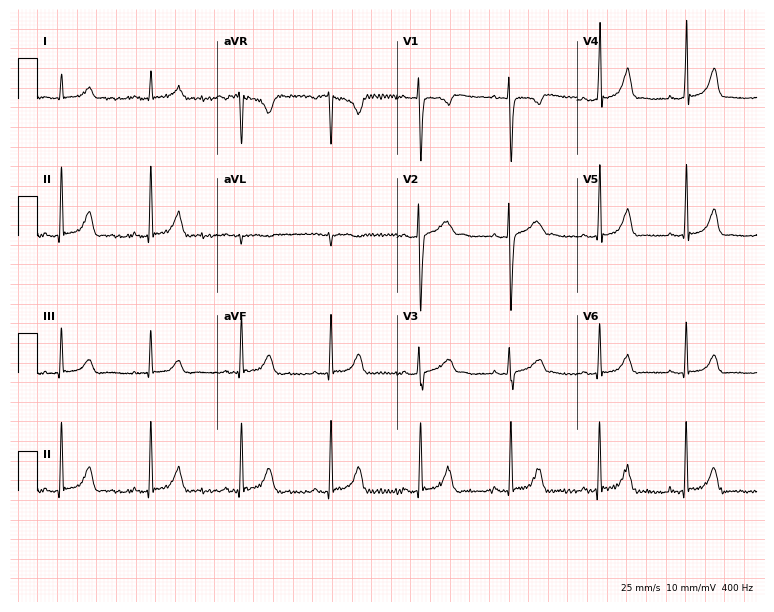
Electrocardiogram, a 32-year-old female patient. Of the six screened findings (first-degree AV block, right bundle branch block, left bundle branch block, sinus bradycardia, atrial fibrillation, sinus tachycardia), none is recorded. Only these six findings were labelled.